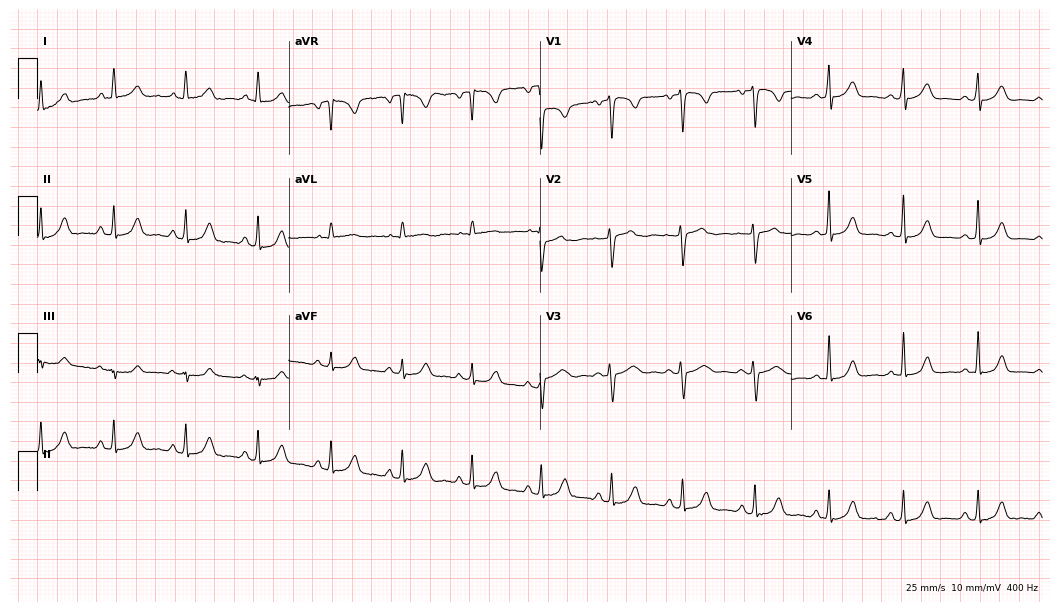
Standard 12-lead ECG recorded from a 23-year-old female (10.2-second recording at 400 Hz). None of these six findings is recorded: first-degree AV block, right bundle branch block, left bundle branch block, sinus bradycardia, atrial fibrillation, sinus tachycardia. Other findings, if any, are not listed.